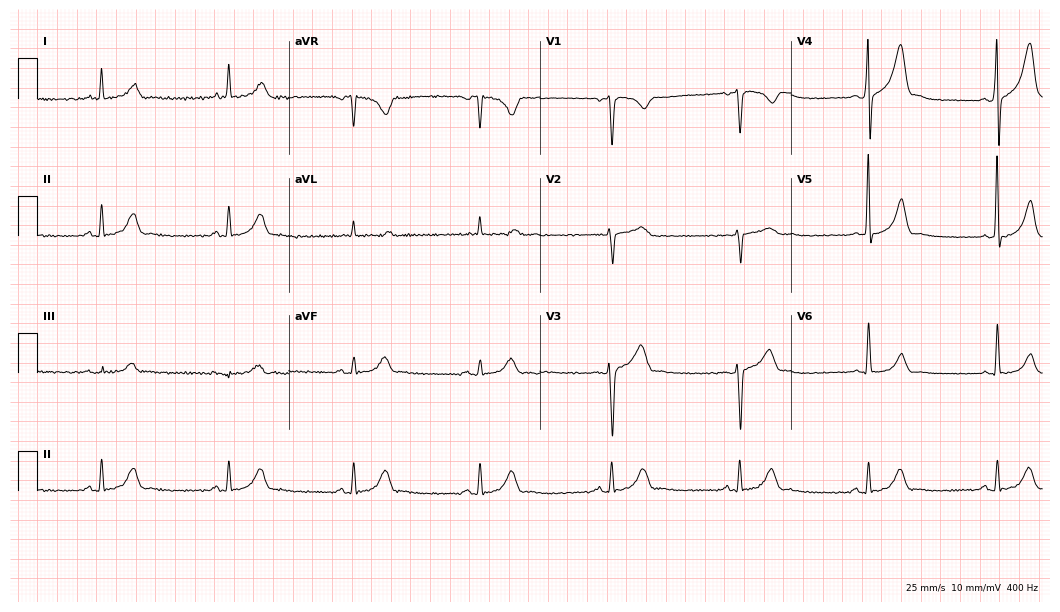
Electrocardiogram, a man, 42 years old. Of the six screened findings (first-degree AV block, right bundle branch block, left bundle branch block, sinus bradycardia, atrial fibrillation, sinus tachycardia), none is recorded. Findings outside these six are not listed.